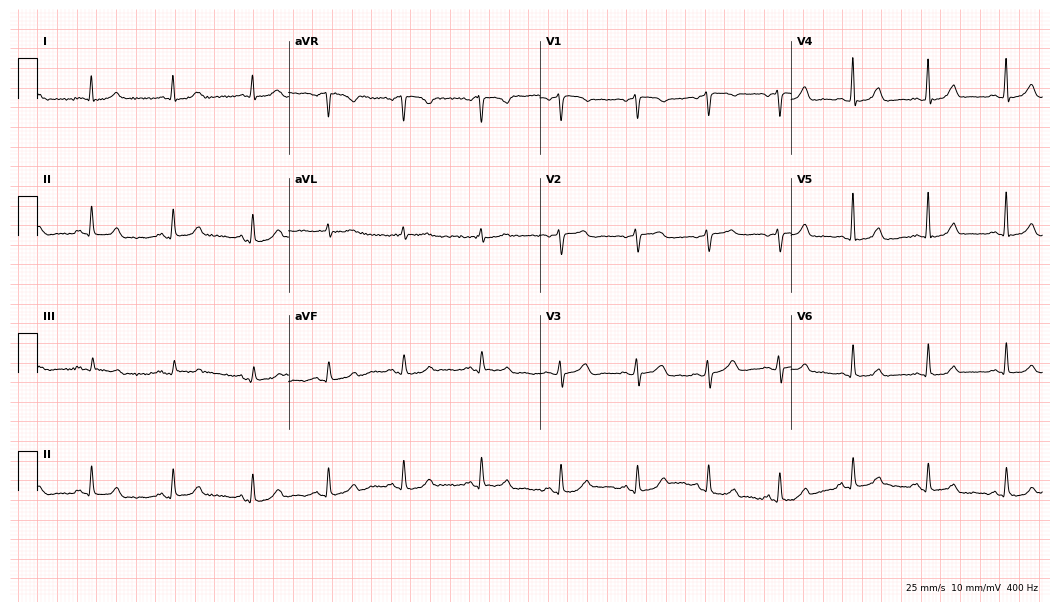
Standard 12-lead ECG recorded from a woman, 51 years old (10.2-second recording at 400 Hz). None of these six findings is recorded: first-degree AV block, right bundle branch block (RBBB), left bundle branch block (LBBB), sinus bradycardia, atrial fibrillation (AF), sinus tachycardia.